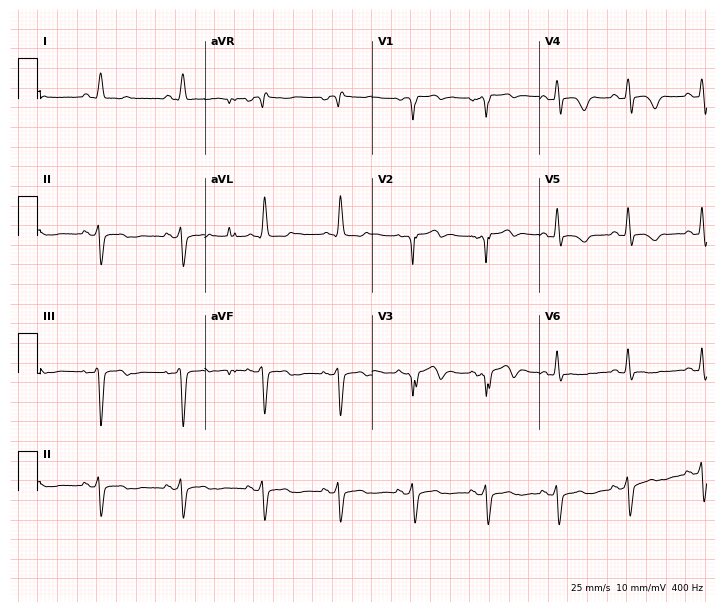
ECG — a 54-year-old male patient. Screened for six findings — first-degree AV block, right bundle branch block, left bundle branch block, sinus bradycardia, atrial fibrillation, sinus tachycardia — none is recorded. Other findings, if any, are not listed.